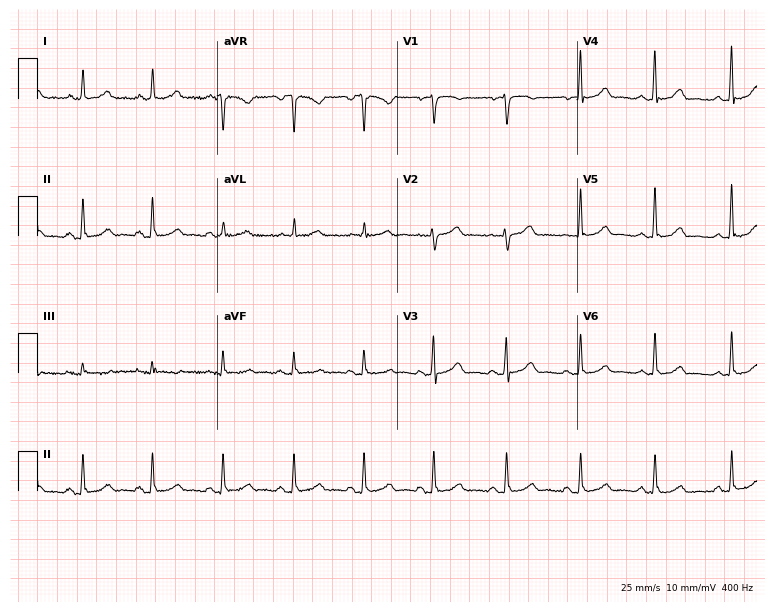
12-lead ECG from a 59-year-old female patient (7.3-second recording at 400 Hz). Recorded interpretation: within normal limits.